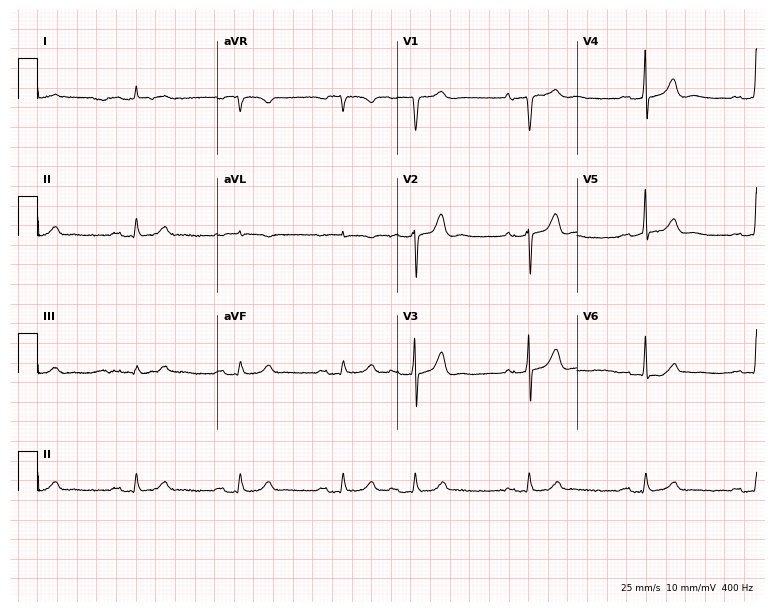
12-lead ECG from an 85-year-old man. No first-degree AV block, right bundle branch block, left bundle branch block, sinus bradycardia, atrial fibrillation or sinus tachycardia recorded for this tracing.